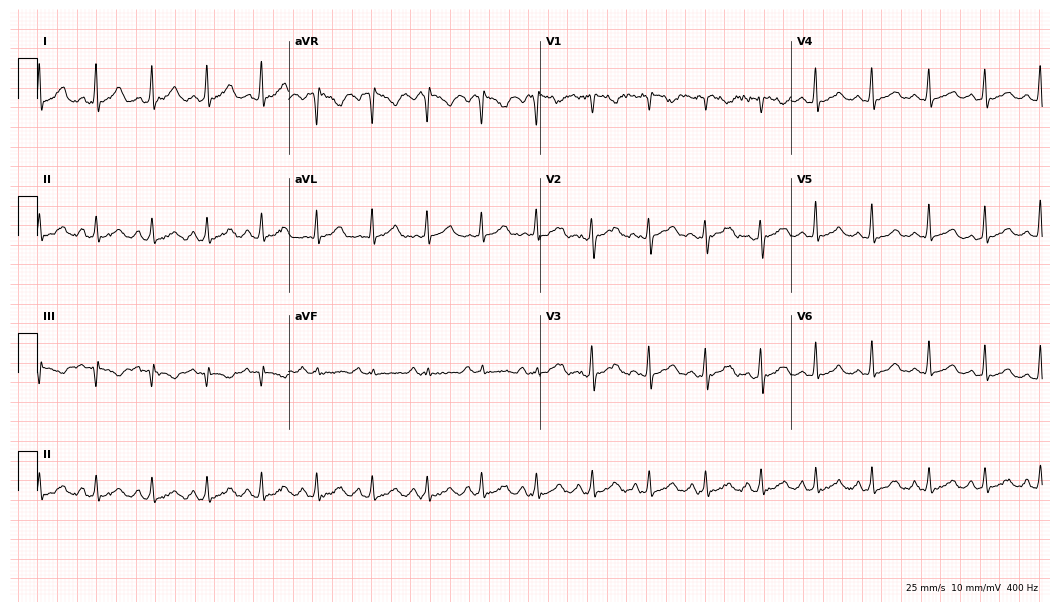
12-lead ECG from a 25-year-old woman. Findings include sinus tachycardia (a sinus rate of 100 beats per minute or more).